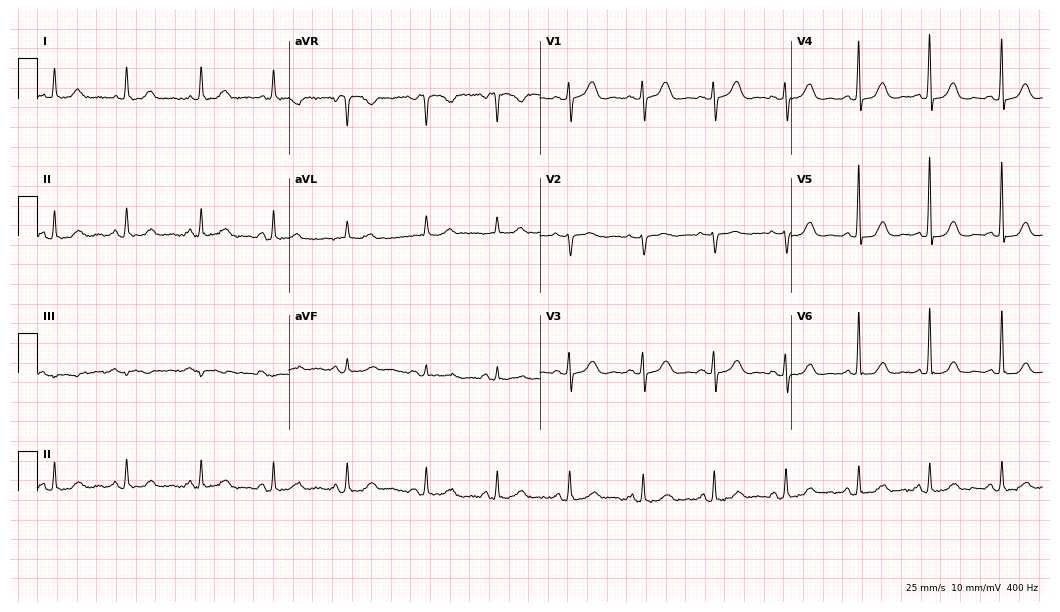
12-lead ECG from an 80-year-old female patient. Recorded interpretation: within normal limits.